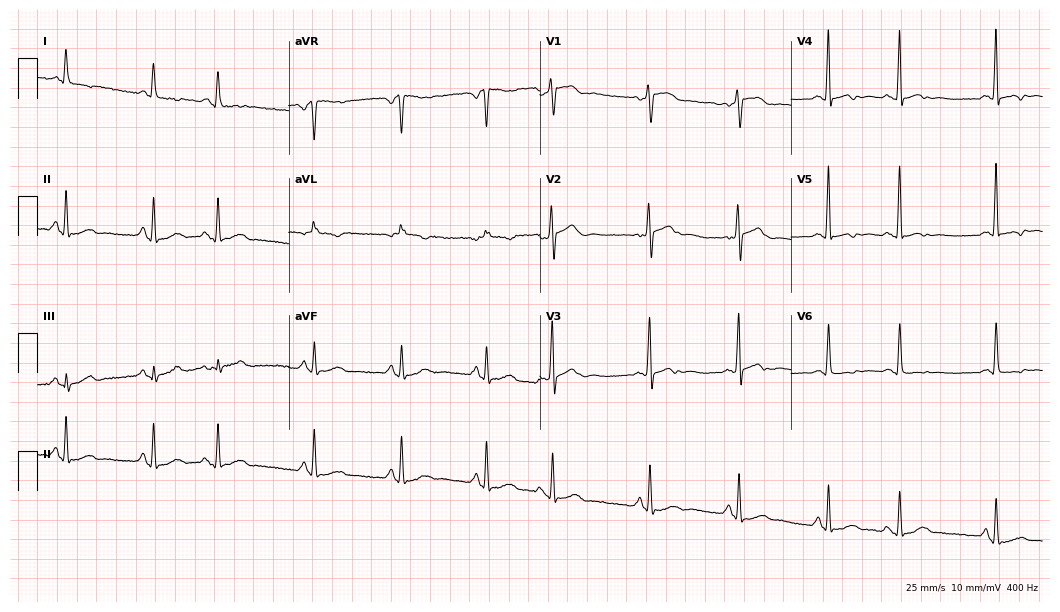
12-lead ECG from a 62-year-old male. Screened for six findings — first-degree AV block, right bundle branch block, left bundle branch block, sinus bradycardia, atrial fibrillation, sinus tachycardia — none is recorded. Findings outside these six are not listed.